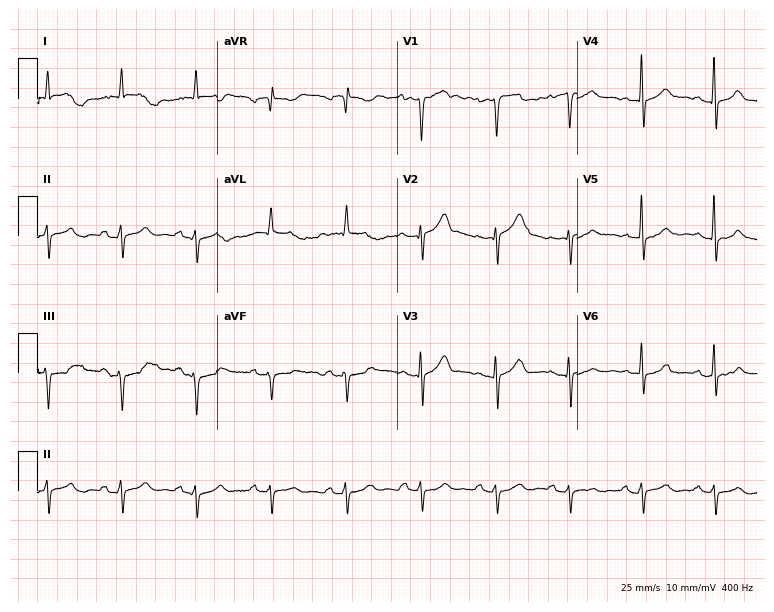
Resting 12-lead electrocardiogram (7.3-second recording at 400 Hz). Patient: a 56-year-old female. None of these six findings is recorded: first-degree AV block, right bundle branch block, left bundle branch block, sinus bradycardia, atrial fibrillation, sinus tachycardia.